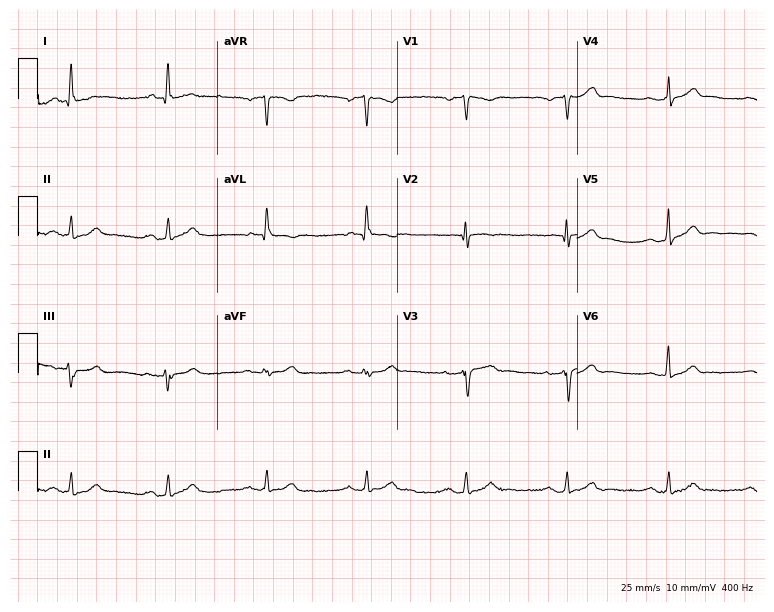
ECG — a 65-year-old male. Labelled as a normal ECG.